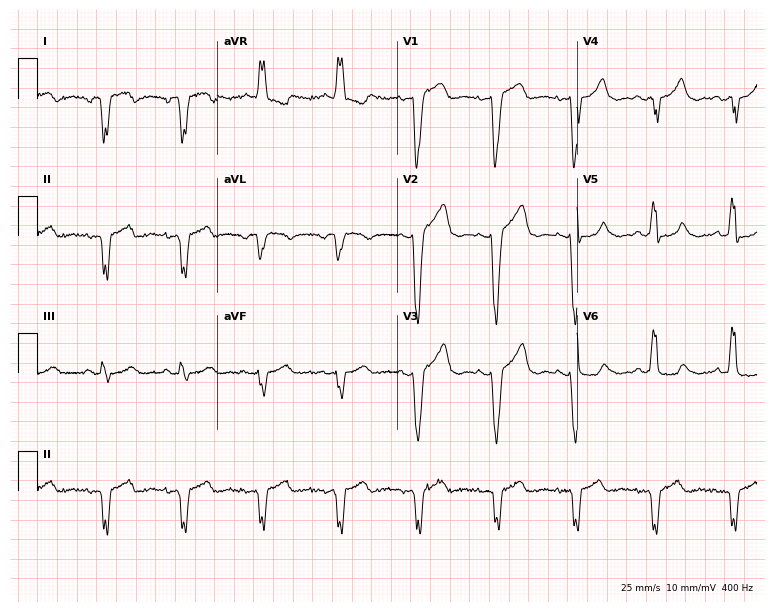
Standard 12-lead ECG recorded from a man, 77 years old. None of these six findings is recorded: first-degree AV block, right bundle branch block, left bundle branch block, sinus bradycardia, atrial fibrillation, sinus tachycardia.